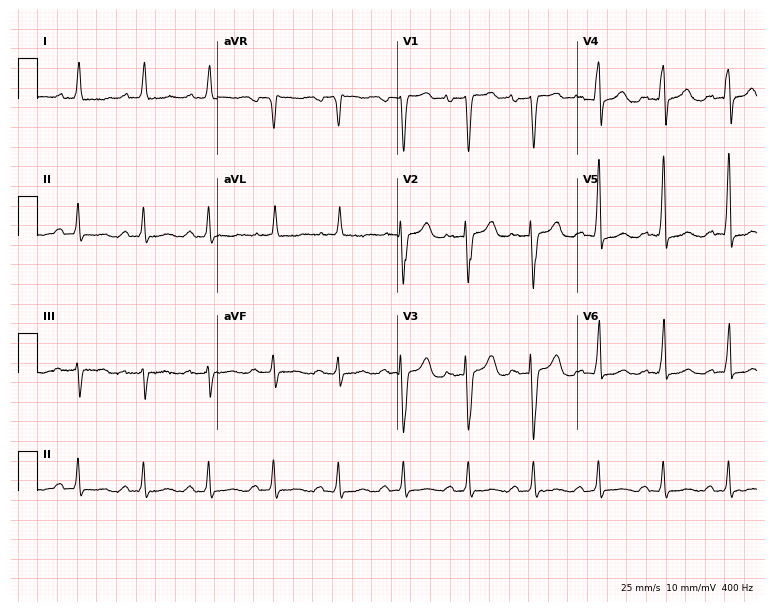
12-lead ECG (7.3-second recording at 400 Hz) from a 76-year-old male patient. Screened for six findings — first-degree AV block, right bundle branch block (RBBB), left bundle branch block (LBBB), sinus bradycardia, atrial fibrillation (AF), sinus tachycardia — none is recorded. Findings outside these six are not listed.